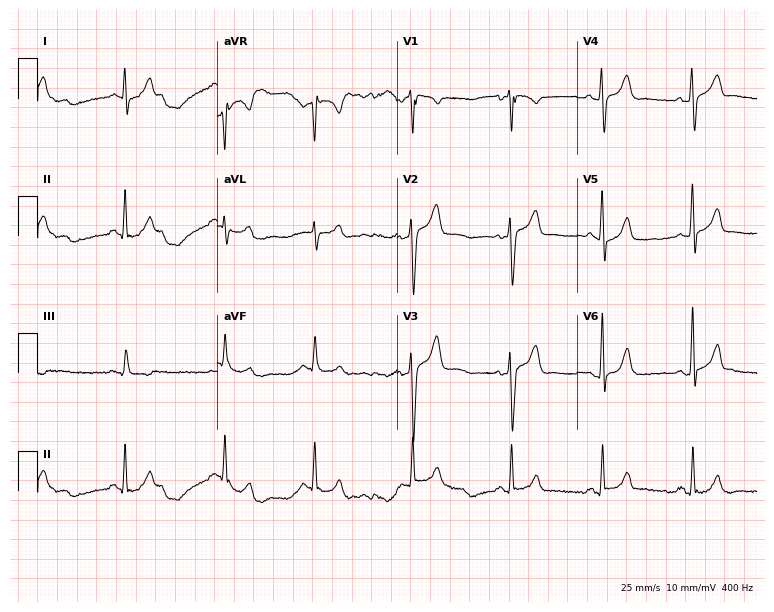
Resting 12-lead electrocardiogram (7.3-second recording at 400 Hz). Patient: a 26-year-old male. Read as a normal ECG.